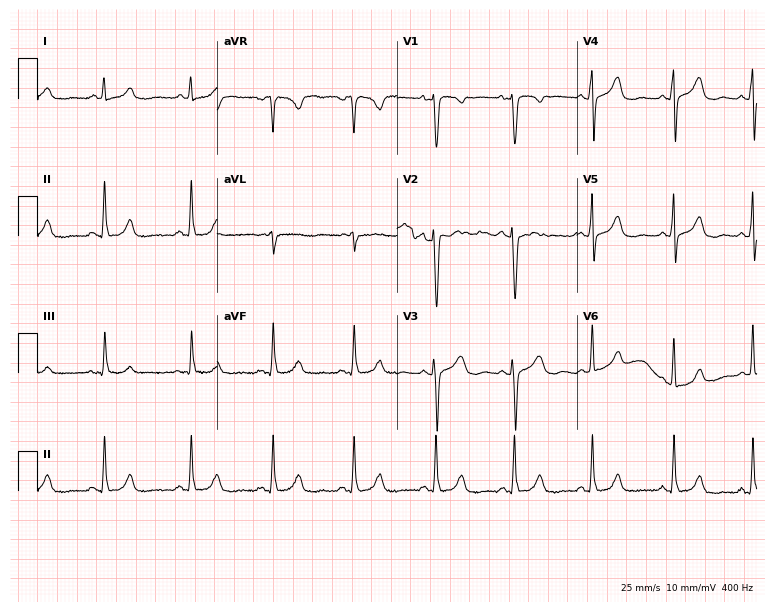
ECG — a 48-year-old female. Labelled as a normal ECG.